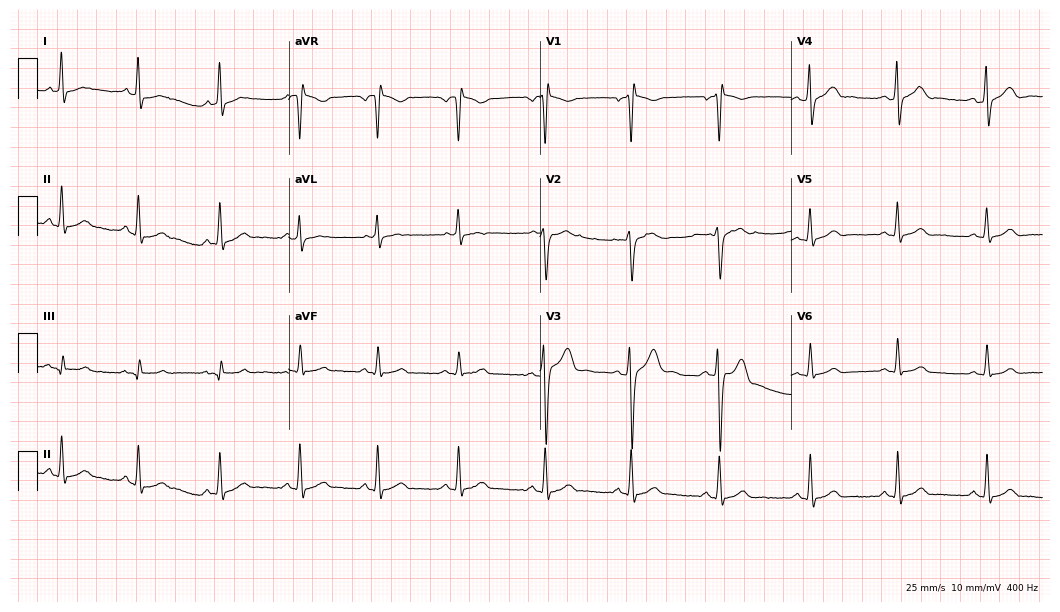
Standard 12-lead ECG recorded from a 28-year-old male (10.2-second recording at 400 Hz). None of these six findings is recorded: first-degree AV block, right bundle branch block (RBBB), left bundle branch block (LBBB), sinus bradycardia, atrial fibrillation (AF), sinus tachycardia. Findings outside these six are not listed.